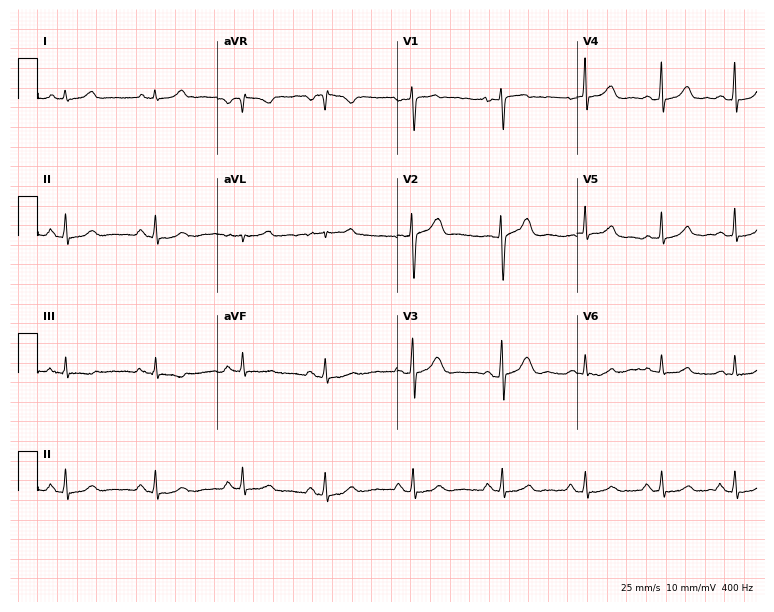
12-lead ECG from a woman, 31 years old. Recorded interpretation: within normal limits.